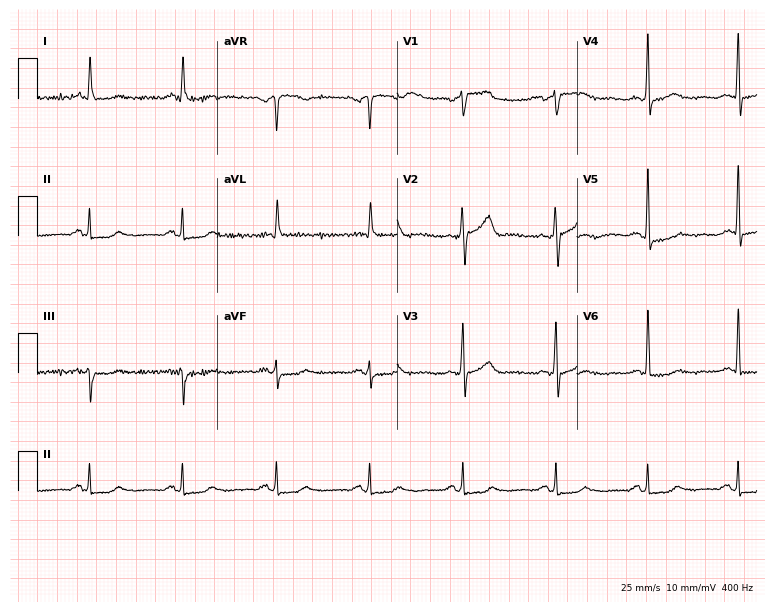
Standard 12-lead ECG recorded from a 65-year-old male. None of these six findings is recorded: first-degree AV block, right bundle branch block (RBBB), left bundle branch block (LBBB), sinus bradycardia, atrial fibrillation (AF), sinus tachycardia.